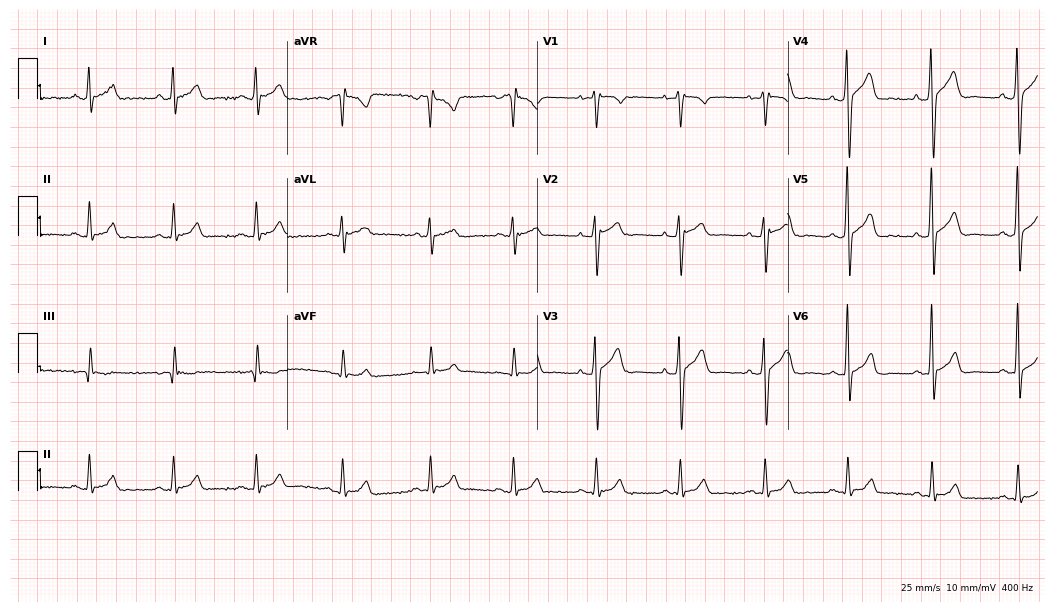
ECG — a 30-year-old man. Screened for six findings — first-degree AV block, right bundle branch block (RBBB), left bundle branch block (LBBB), sinus bradycardia, atrial fibrillation (AF), sinus tachycardia — none is recorded.